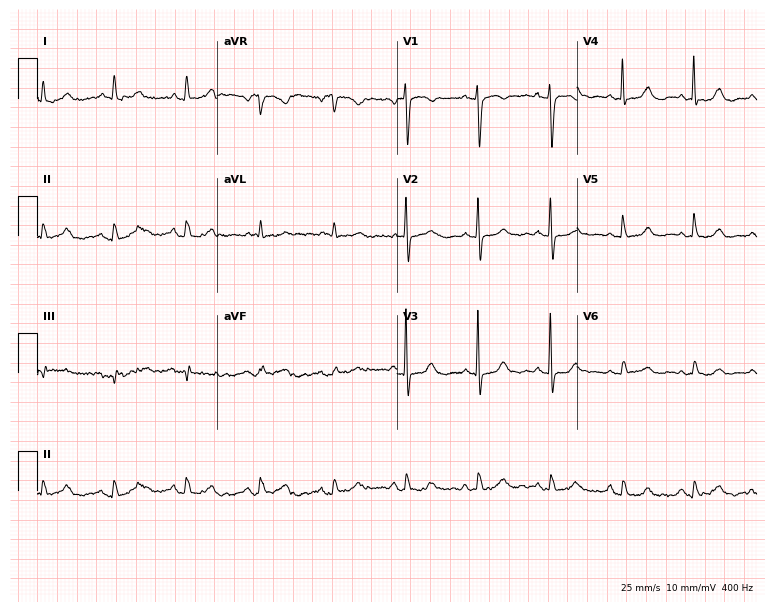
Electrocardiogram (7.3-second recording at 400 Hz), a female patient, 75 years old. Overall reading on record: normal ECG.